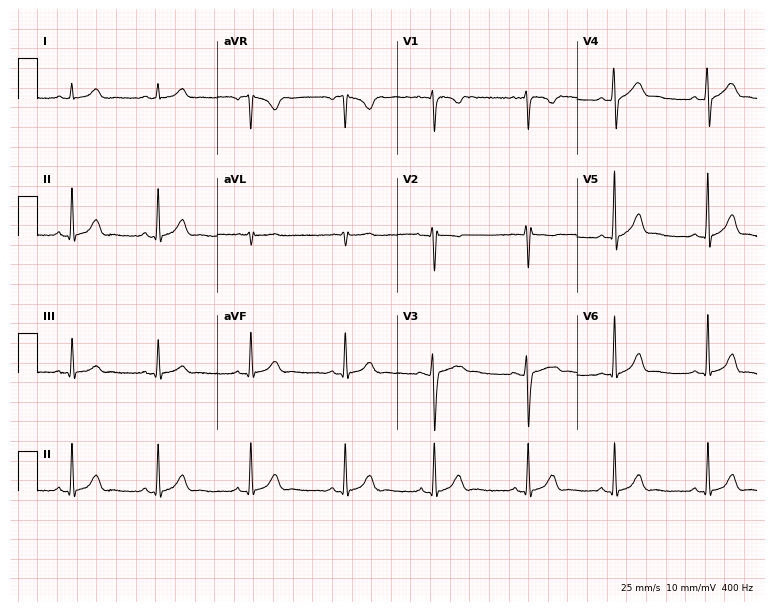
Electrocardiogram, a 20-year-old female patient. Overall reading on record: normal ECG.